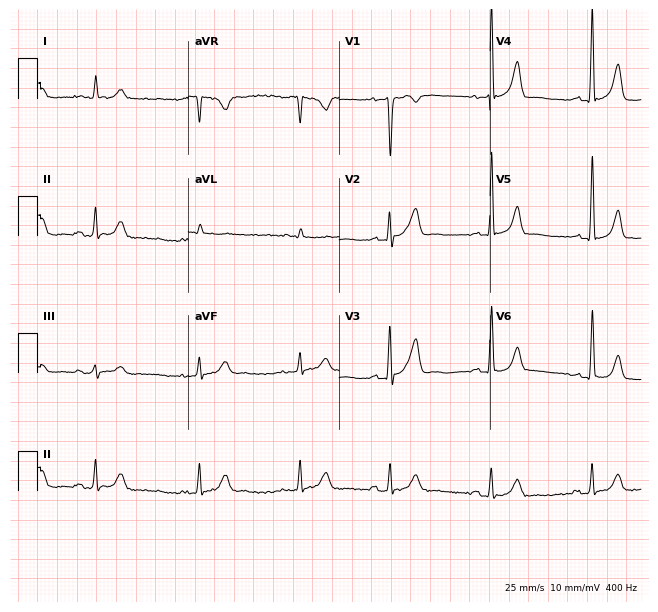
Resting 12-lead electrocardiogram (6.2-second recording at 400 Hz). Patient: a male, 83 years old. None of these six findings is recorded: first-degree AV block, right bundle branch block, left bundle branch block, sinus bradycardia, atrial fibrillation, sinus tachycardia.